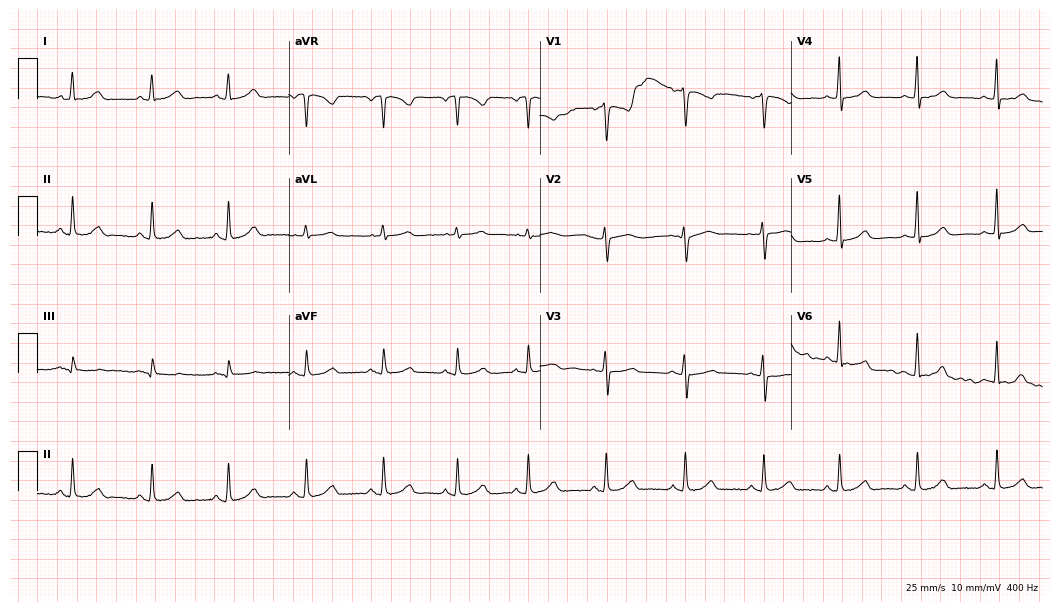
12-lead ECG from a 48-year-old female patient. Recorded interpretation: within normal limits.